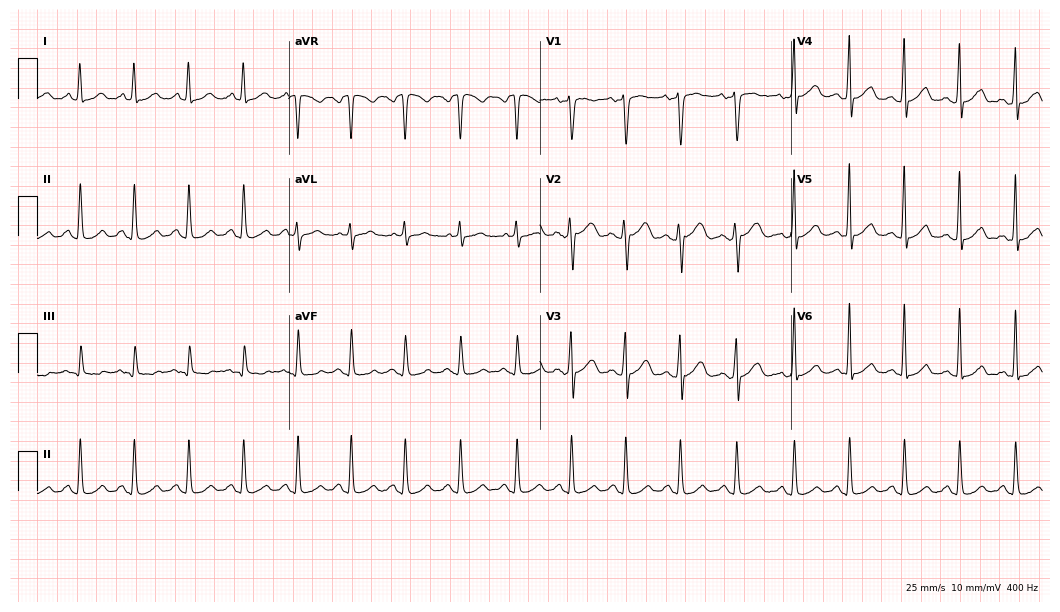
Resting 12-lead electrocardiogram (10.2-second recording at 400 Hz). Patient: a 26-year-old female. The tracing shows sinus tachycardia (a sinus rate of 100 beats per minute or more).